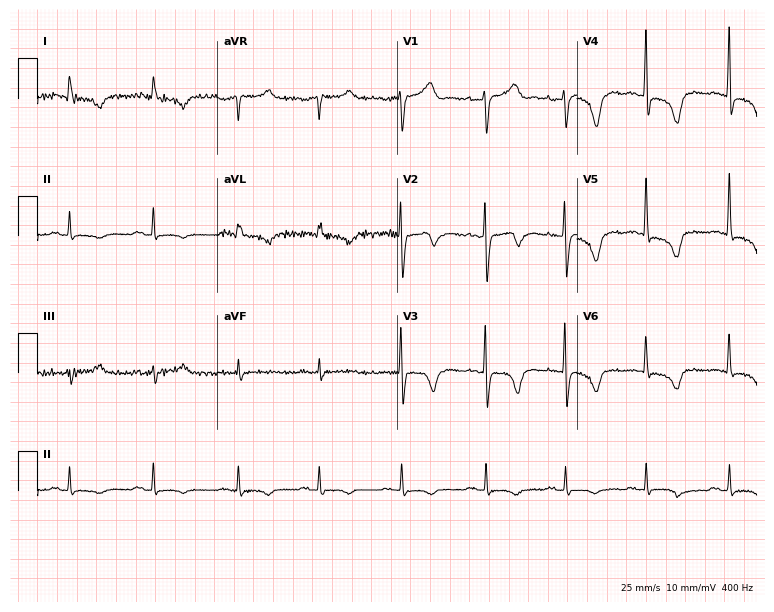
ECG — a 69-year-old man. Screened for six findings — first-degree AV block, right bundle branch block (RBBB), left bundle branch block (LBBB), sinus bradycardia, atrial fibrillation (AF), sinus tachycardia — none is recorded.